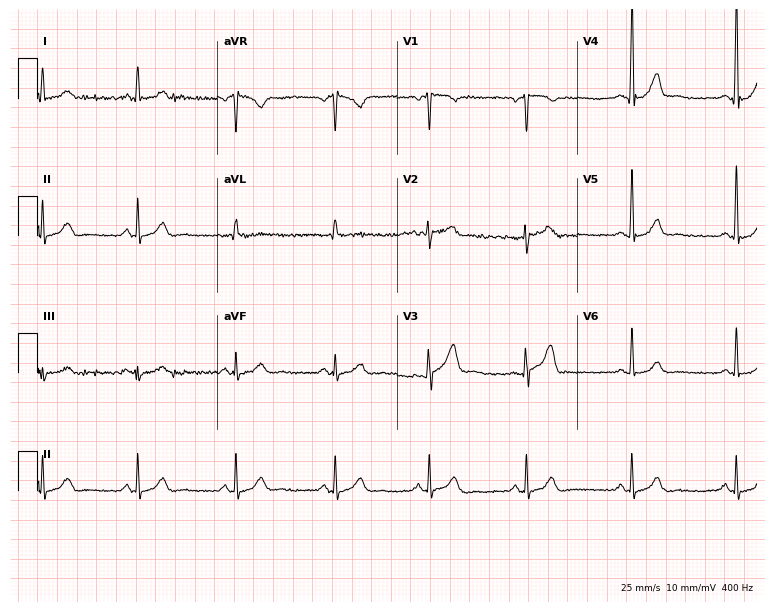
ECG (7.3-second recording at 400 Hz) — a 53-year-old male. Labelled as a normal ECG.